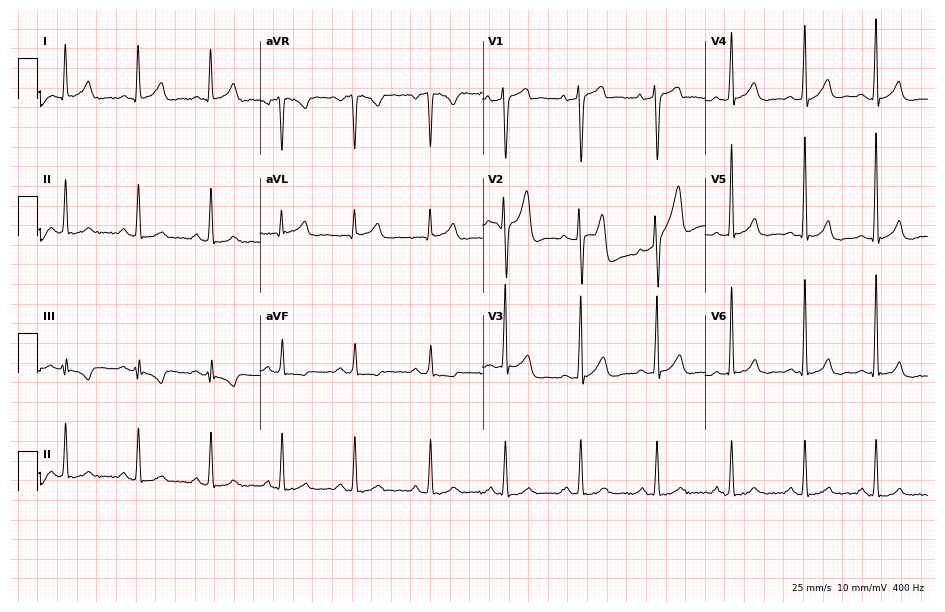
12-lead ECG from a 33-year-old male patient. No first-degree AV block, right bundle branch block, left bundle branch block, sinus bradycardia, atrial fibrillation or sinus tachycardia recorded for this tracing.